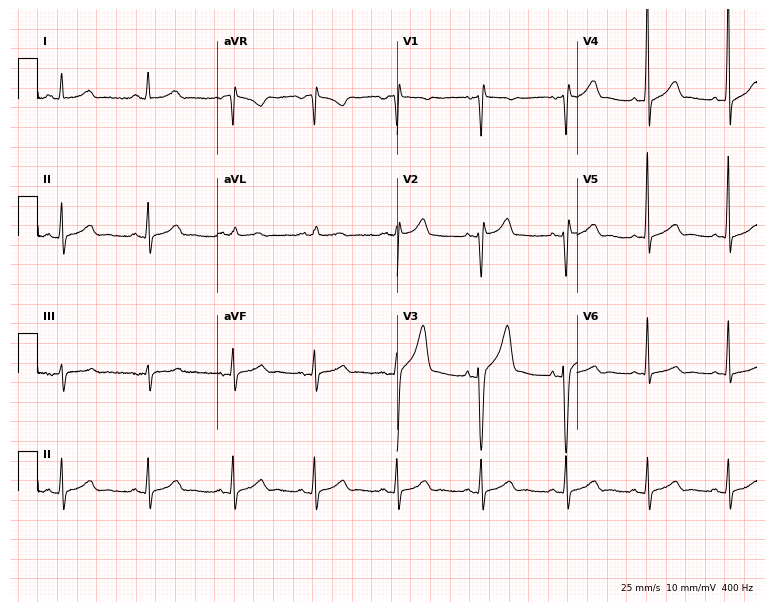
ECG — a man, 48 years old. Labelled as a normal ECG.